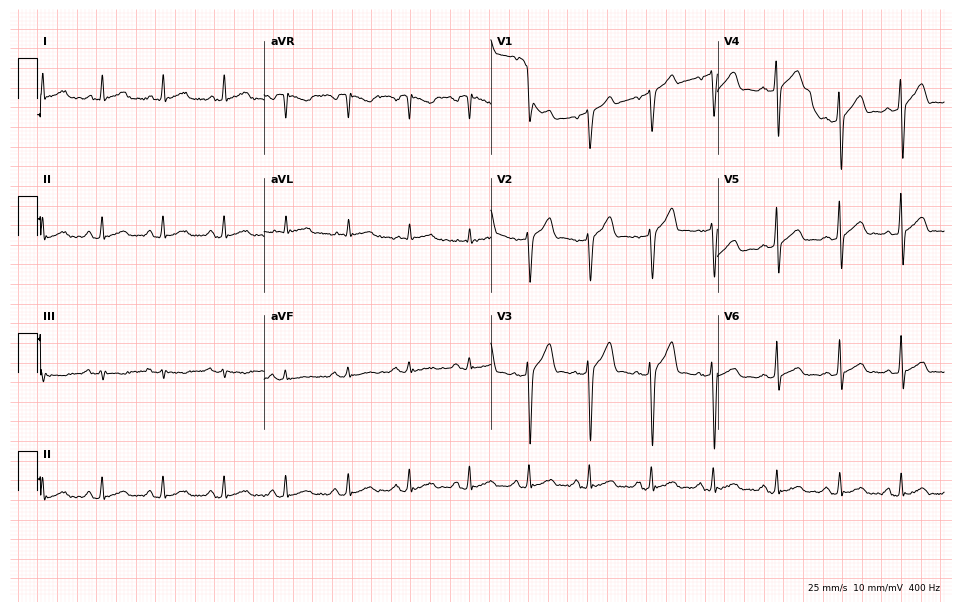
Standard 12-lead ECG recorded from a male, 44 years old. None of these six findings is recorded: first-degree AV block, right bundle branch block (RBBB), left bundle branch block (LBBB), sinus bradycardia, atrial fibrillation (AF), sinus tachycardia. Only these six findings were labelled.